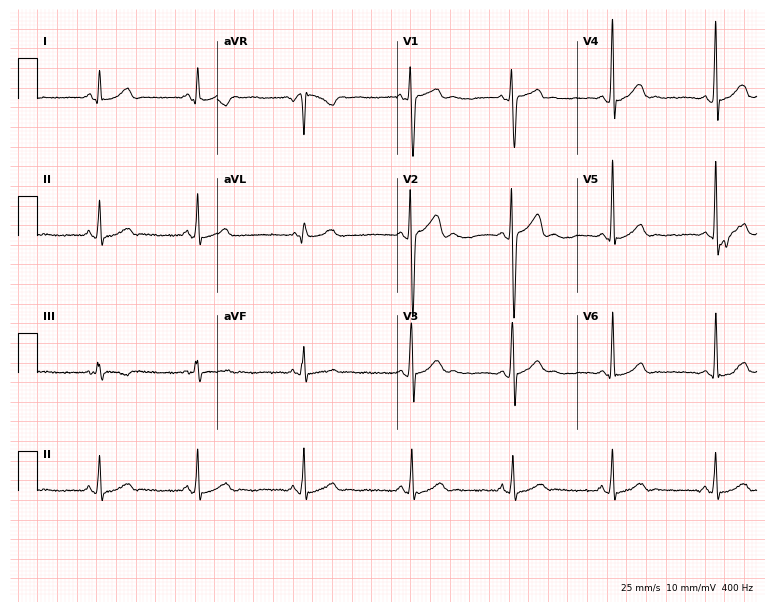
12-lead ECG from a male, 19 years old. Recorded interpretation: within normal limits.